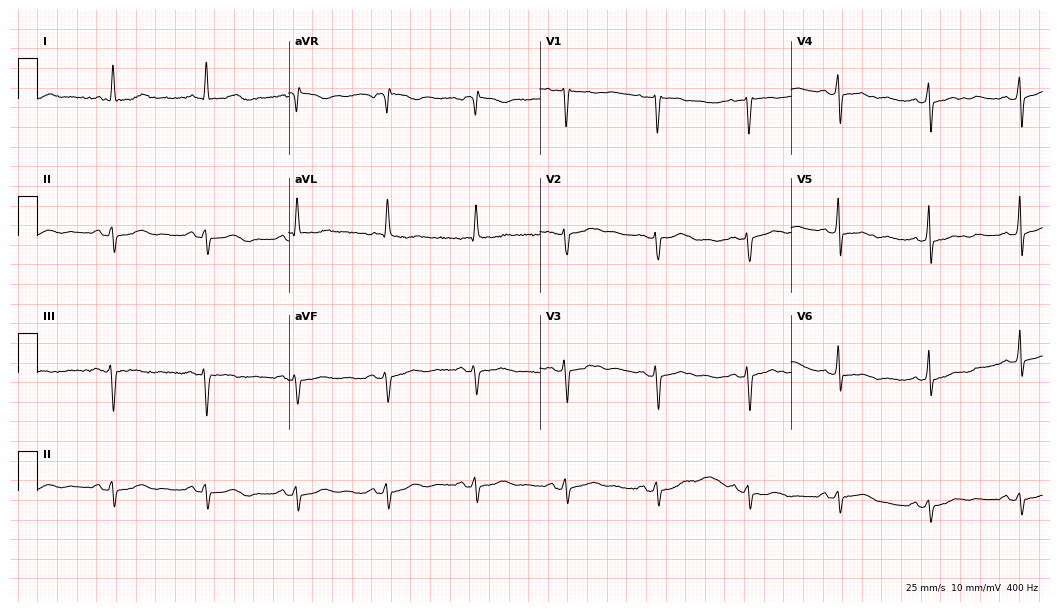
Electrocardiogram (10.2-second recording at 400 Hz), a 63-year-old woman. Of the six screened findings (first-degree AV block, right bundle branch block, left bundle branch block, sinus bradycardia, atrial fibrillation, sinus tachycardia), none is recorded. Findings outside these six are not listed.